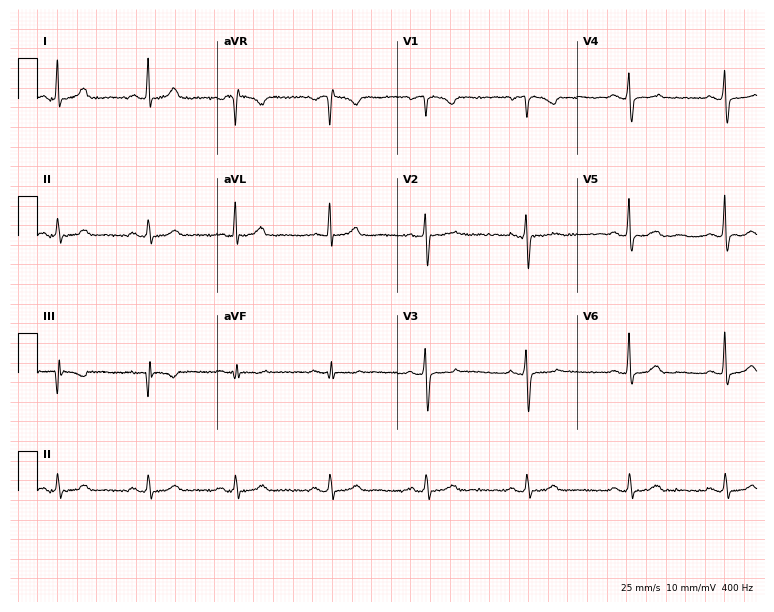
ECG (7.3-second recording at 400 Hz) — a 53-year-old woman. Screened for six findings — first-degree AV block, right bundle branch block, left bundle branch block, sinus bradycardia, atrial fibrillation, sinus tachycardia — none is recorded. Findings outside these six are not listed.